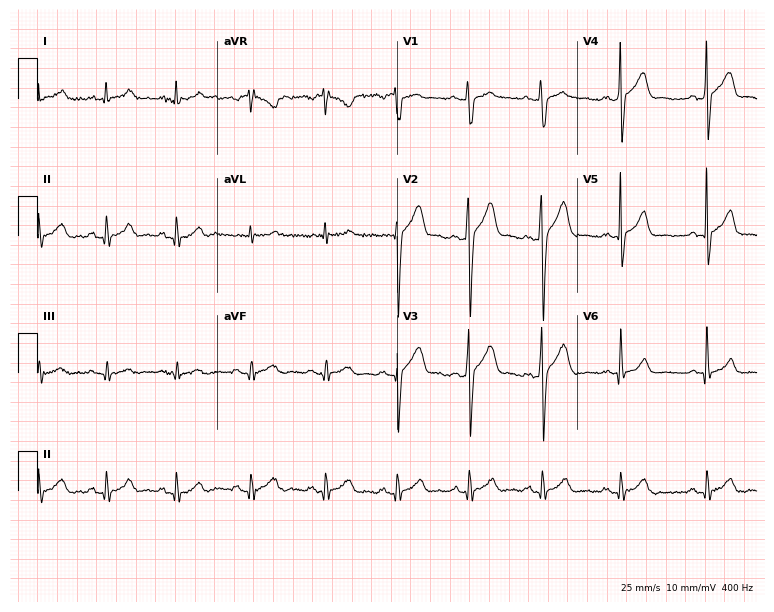
Electrocardiogram, a male, 32 years old. Of the six screened findings (first-degree AV block, right bundle branch block, left bundle branch block, sinus bradycardia, atrial fibrillation, sinus tachycardia), none is recorded.